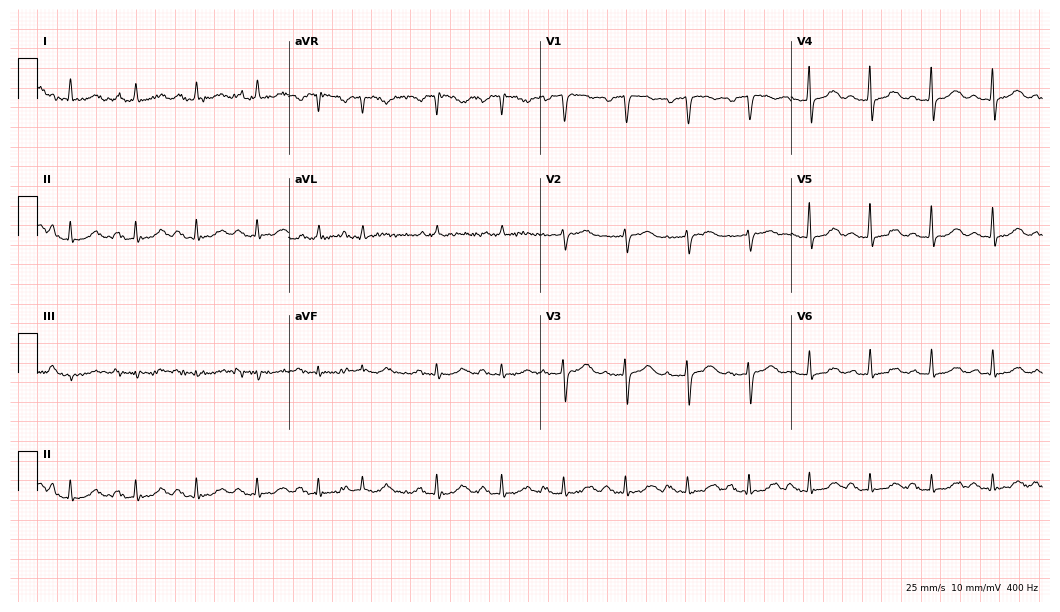
12-lead ECG from a woman, 76 years old (10.2-second recording at 400 Hz). Recorded interpretation: within normal limits.